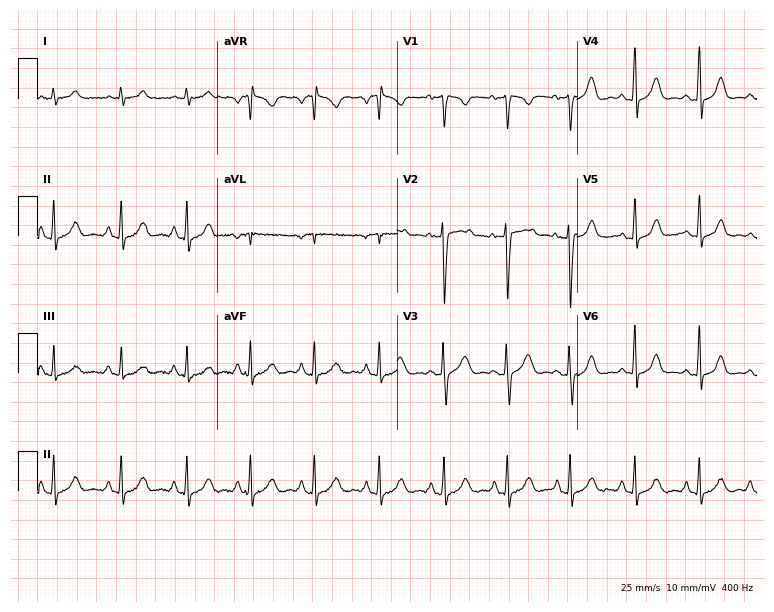
Resting 12-lead electrocardiogram. Patient: a female, 20 years old. Read as a normal ECG.